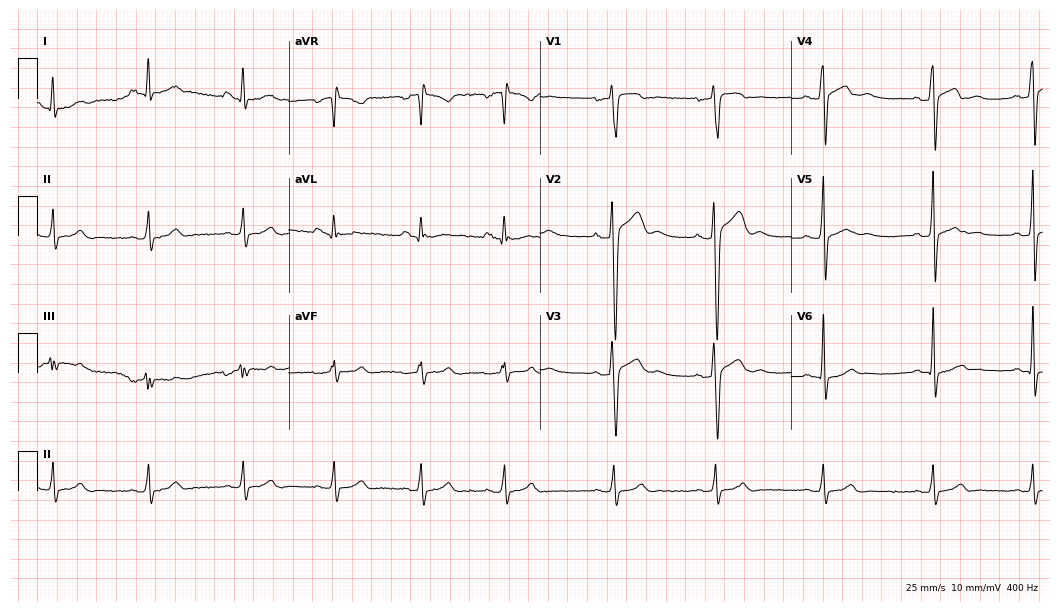
ECG — a male patient, 17 years old. Screened for six findings — first-degree AV block, right bundle branch block, left bundle branch block, sinus bradycardia, atrial fibrillation, sinus tachycardia — none is recorded. Other findings, if any, are not listed.